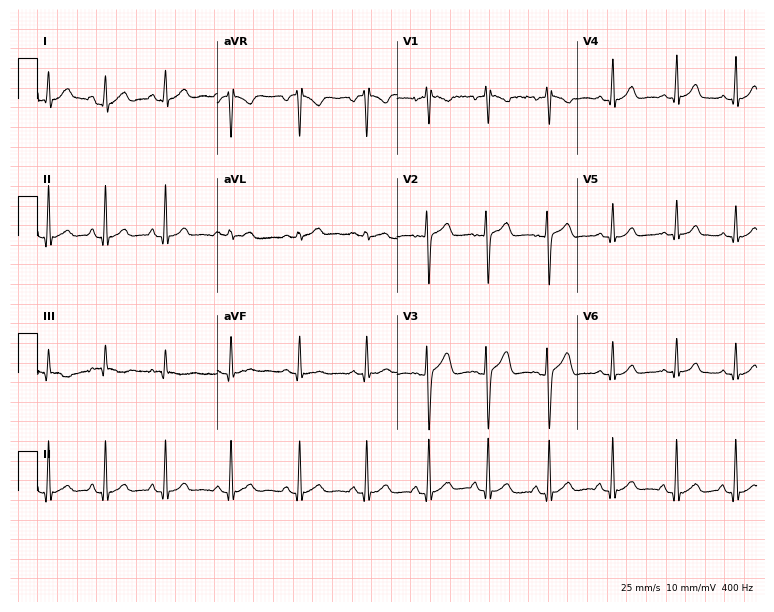
ECG (7.3-second recording at 400 Hz) — a female patient, 24 years old. Screened for six findings — first-degree AV block, right bundle branch block, left bundle branch block, sinus bradycardia, atrial fibrillation, sinus tachycardia — none is recorded. Other findings, if any, are not listed.